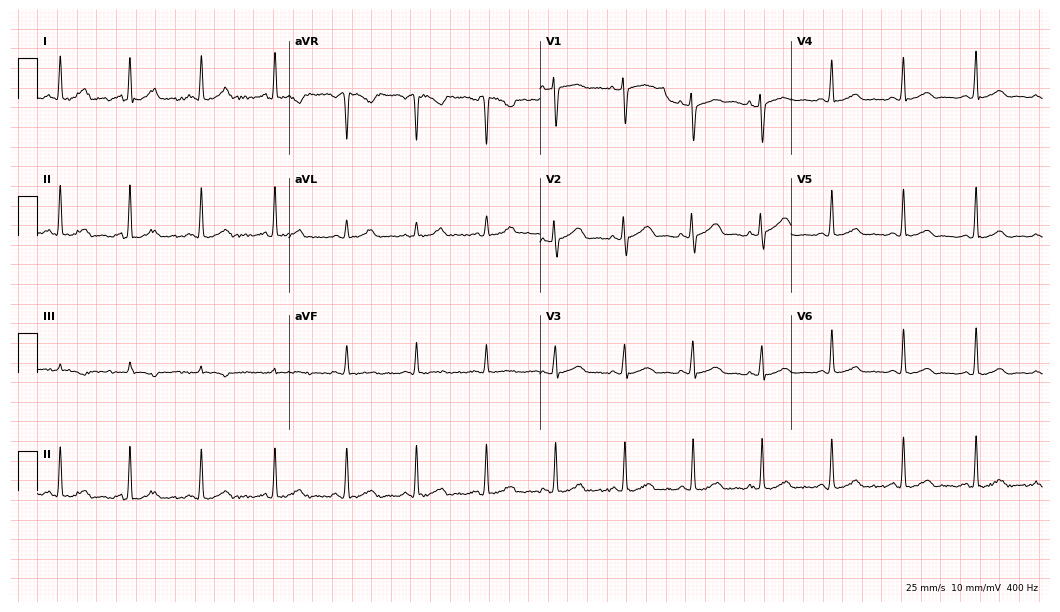
12-lead ECG from a 33-year-old woman. Recorded interpretation: within normal limits.